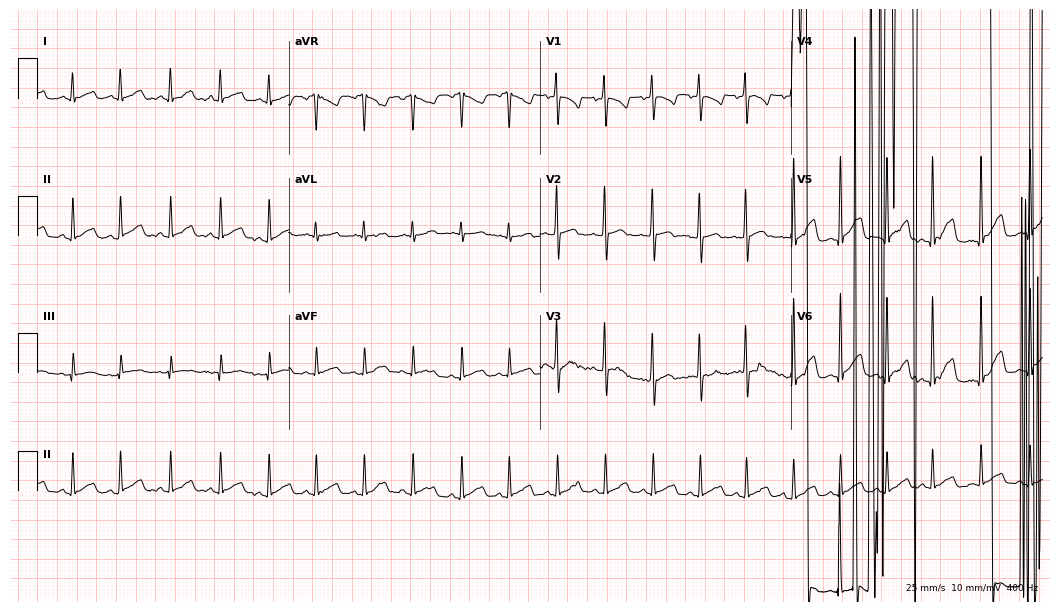
12-lead ECG from a 33-year-old male. No first-degree AV block, right bundle branch block, left bundle branch block, sinus bradycardia, atrial fibrillation or sinus tachycardia recorded for this tracing.